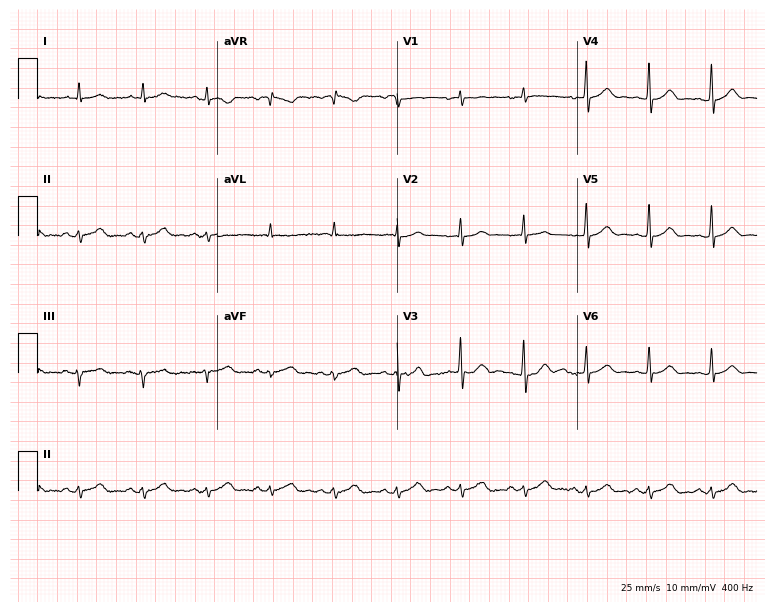
Standard 12-lead ECG recorded from a 68-year-old male patient (7.3-second recording at 400 Hz). Read as a normal ECG.